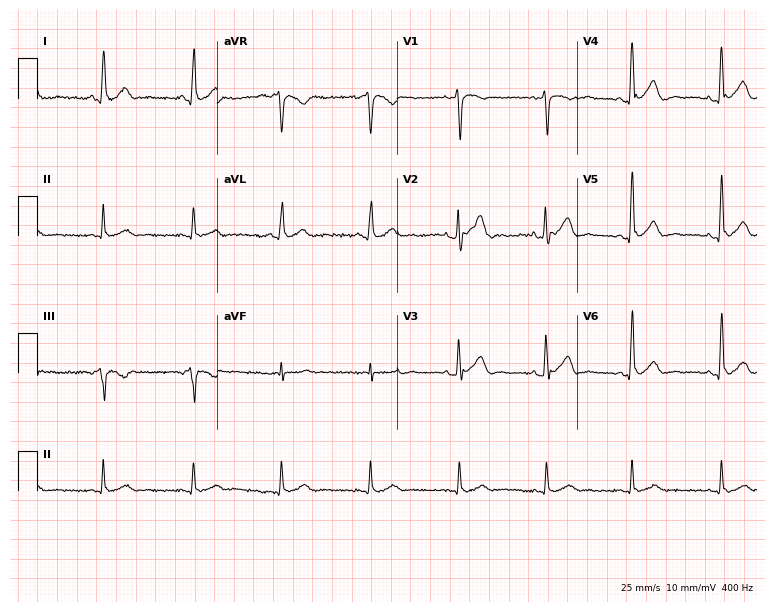
ECG — a male, 31 years old. Labelled as a normal ECG.